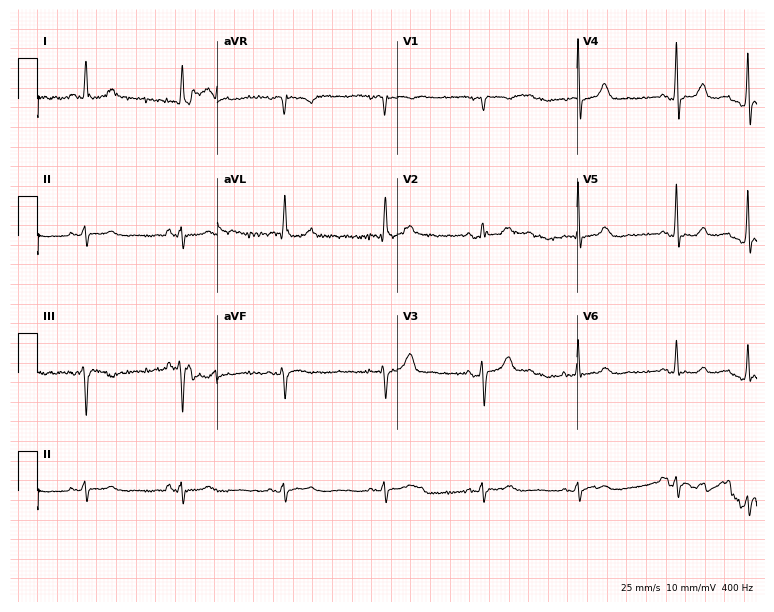
Electrocardiogram, a 72-year-old male. Of the six screened findings (first-degree AV block, right bundle branch block (RBBB), left bundle branch block (LBBB), sinus bradycardia, atrial fibrillation (AF), sinus tachycardia), none is recorded. Findings outside these six are not listed.